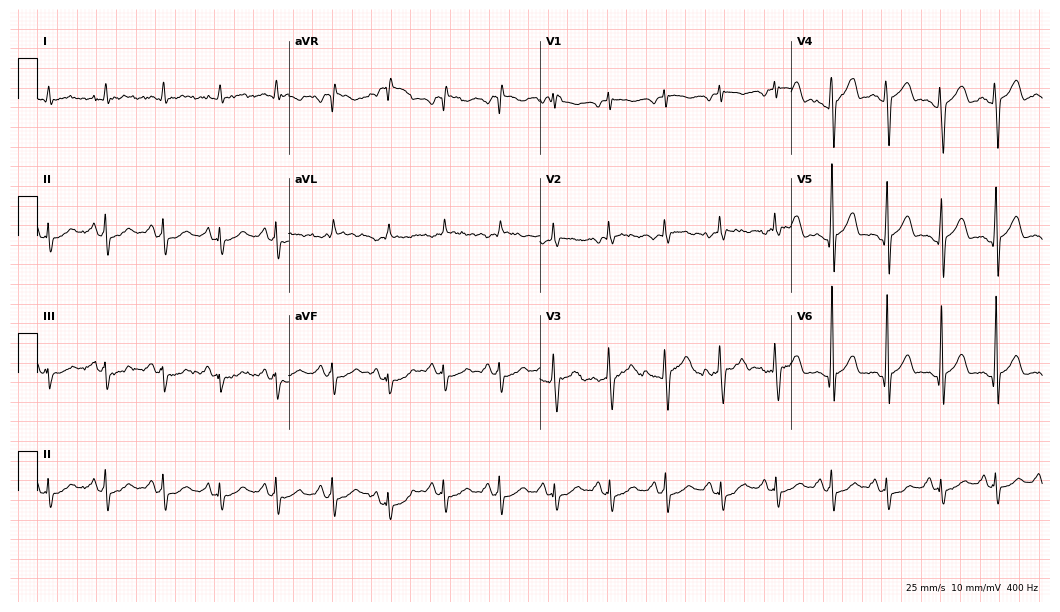
ECG (10.2-second recording at 400 Hz) — a male patient, 62 years old. Findings include sinus tachycardia (a sinus rate of 100 beats per minute or more).